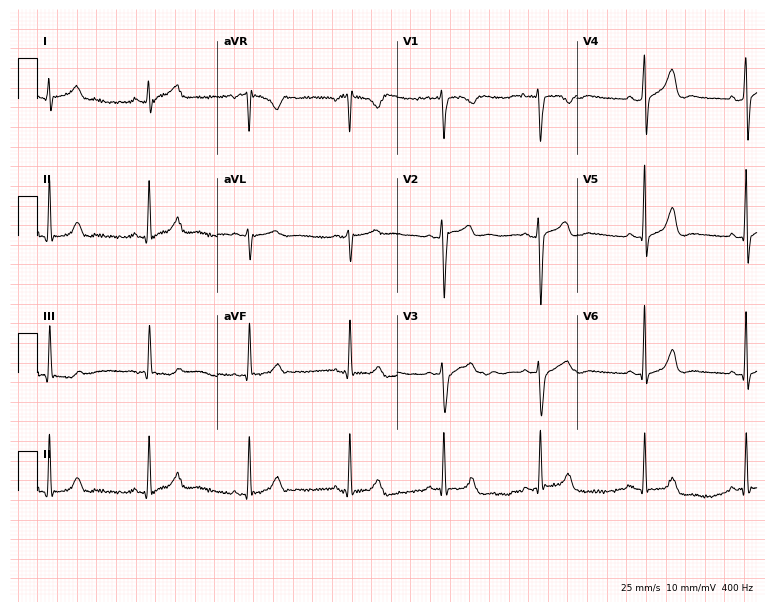
Resting 12-lead electrocardiogram. Patient: a man, 35 years old. Read as a normal ECG.